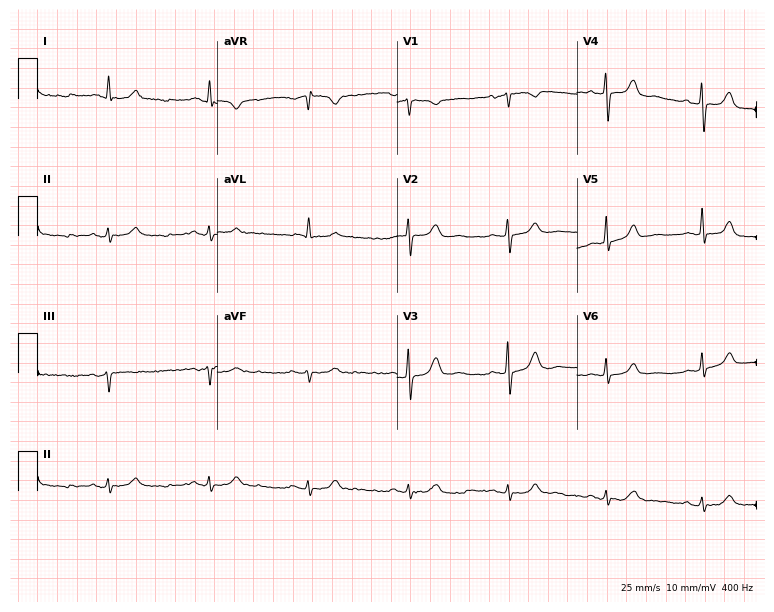
12-lead ECG (7.3-second recording at 400 Hz) from an 81-year-old female patient. Screened for six findings — first-degree AV block, right bundle branch block, left bundle branch block, sinus bradycardia, atrial fibrillation, sinus tachycardia — none is recorded.